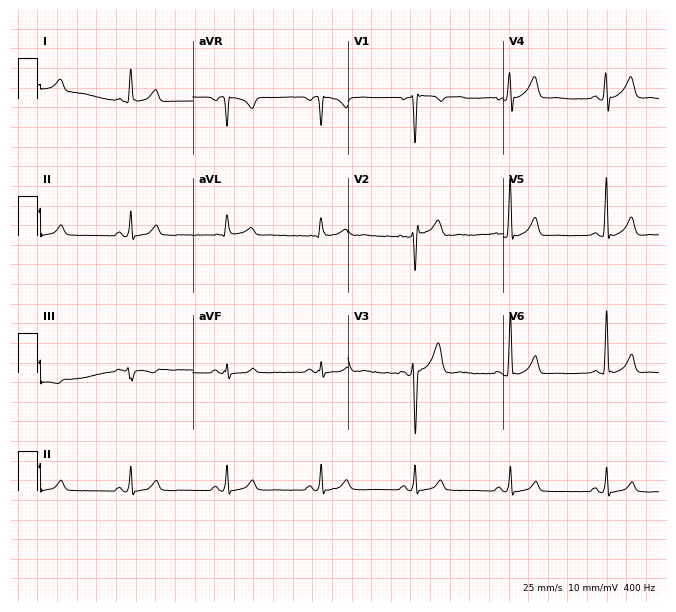
12-lead ECG from a man, 38 years old. Labelled as a normal ECG.